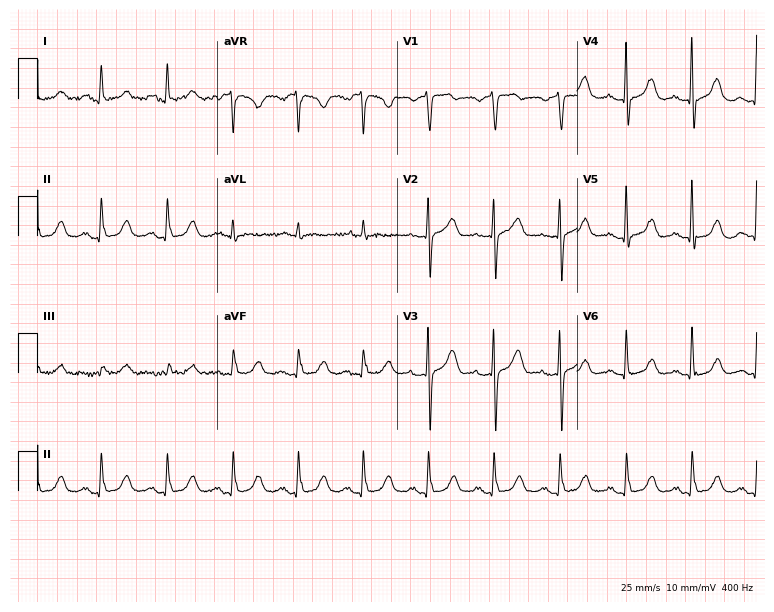
ECG — a female, 76 years old. Labelled as a normal ECG.